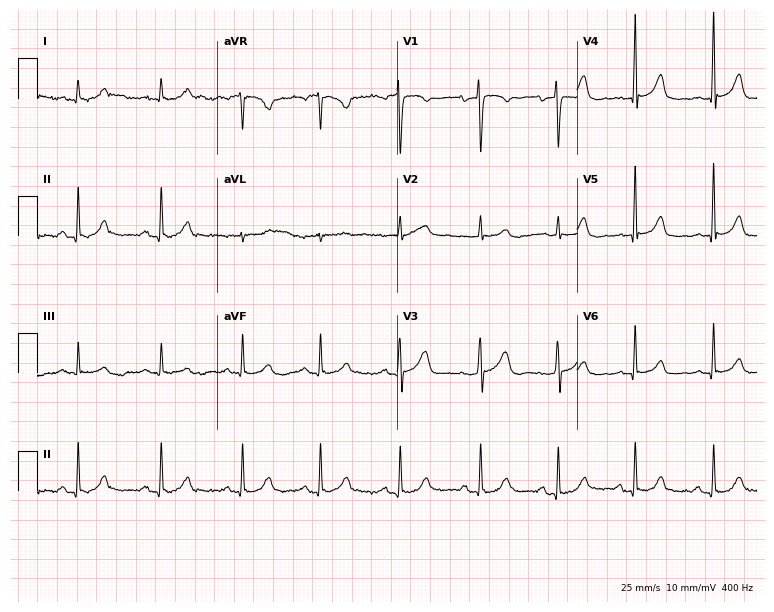
ECG — a 44-year-old male patient. Labelled as a normal ECG.